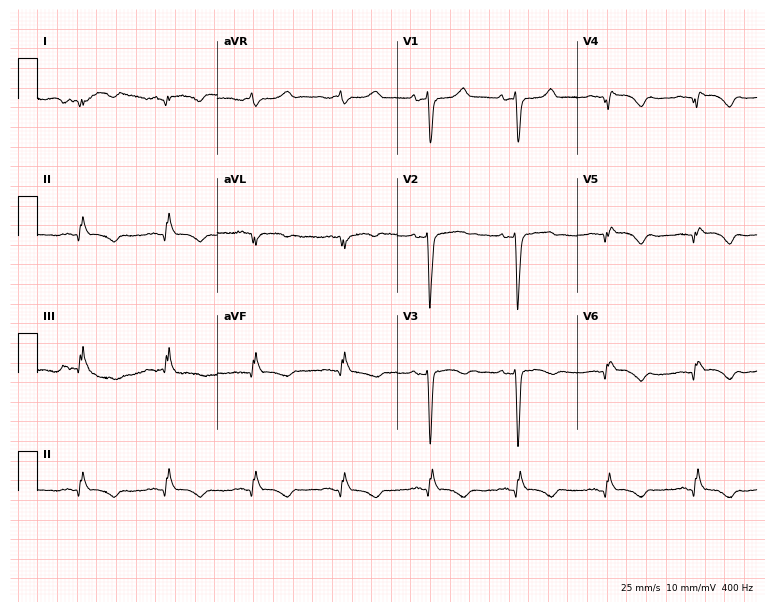
12-lead ECG from a female patient, 44 years old. No first-degree AV block, right bundle branch block (RBBB), left bundle branch block (LBBB), sinus bradycardia, atrial fibrillation (AF) or sinus tachycardia recorded for this tracing.